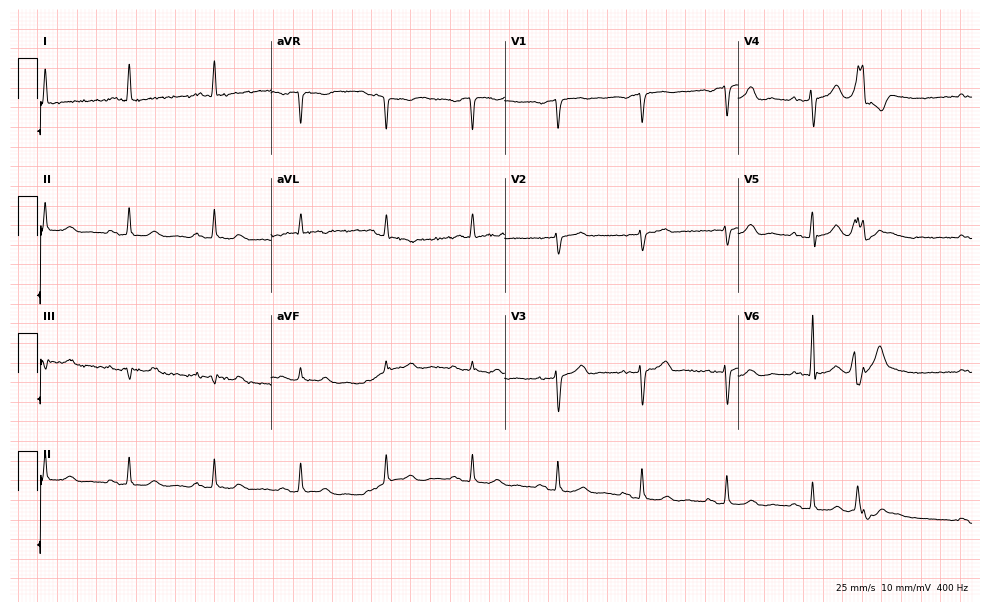
Resting 12-lead electrocardiogram (9.5-second recording at 400 Hz). Patient: a 75-year-old man. None of these six findings is recorded: first-degree AV block, right bundle branch block (RBBB), left bundle branch block (LBBB), sinus bradycardia, atrial fibrillation (AF), sinus tachycardia.